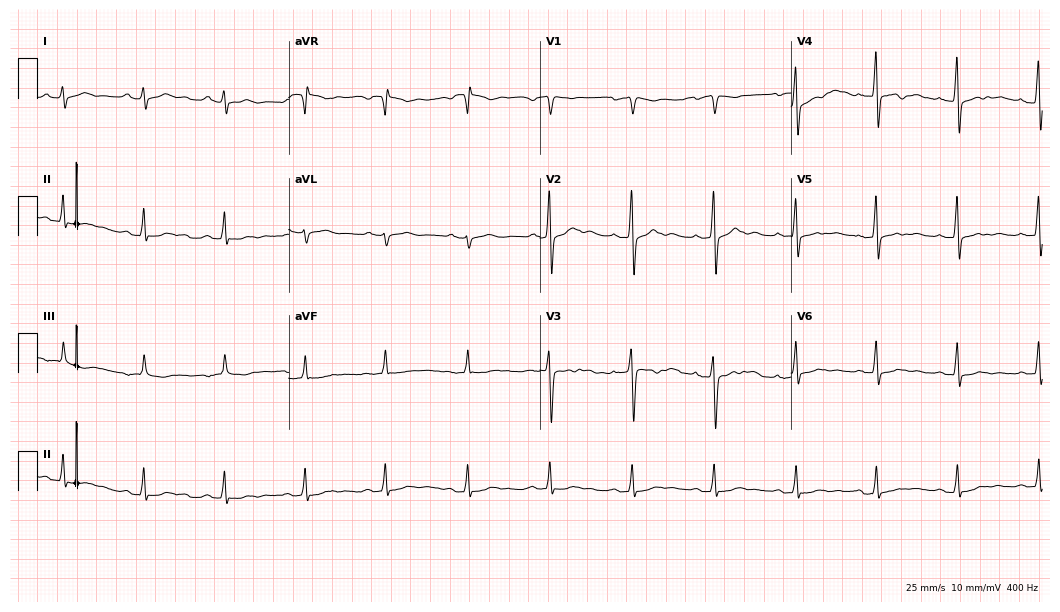
12-lead ECG from a man, 40 years old (10.2-second recording at 400 Hz). No first-degree AV block, right bundle branch block (RBBB), left bundle branch block (LBBB), sinus bradycardia, atrial fibrillation (AF) or sinus tachycardia recorded for this tracing. Only these six findings were labelled.